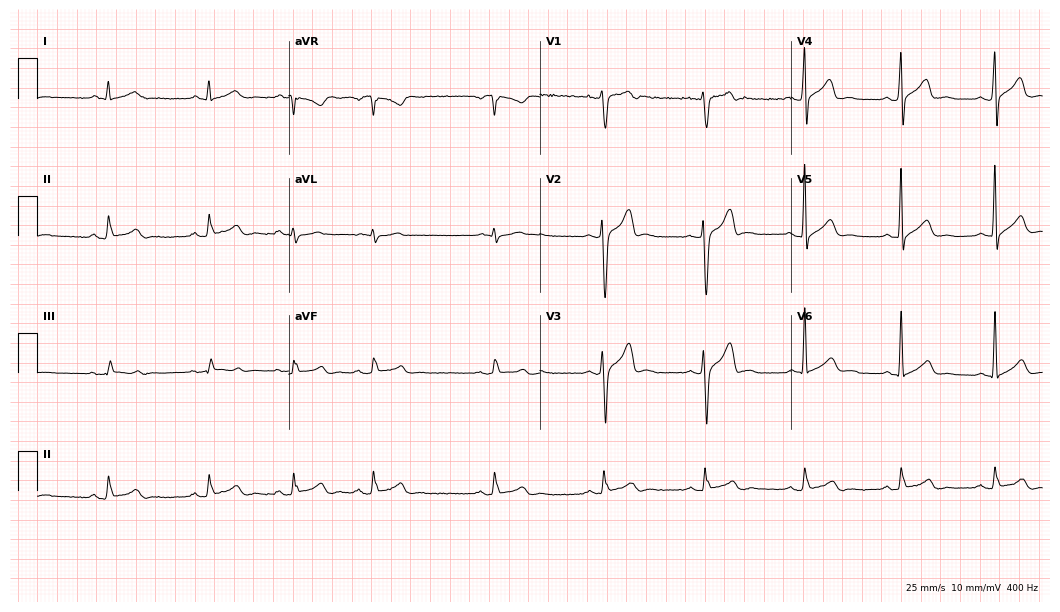
Electrocardiogram (10.2-second recording at 400 Hz), a man, 18 years old. Overall reading on record: normal ECG.